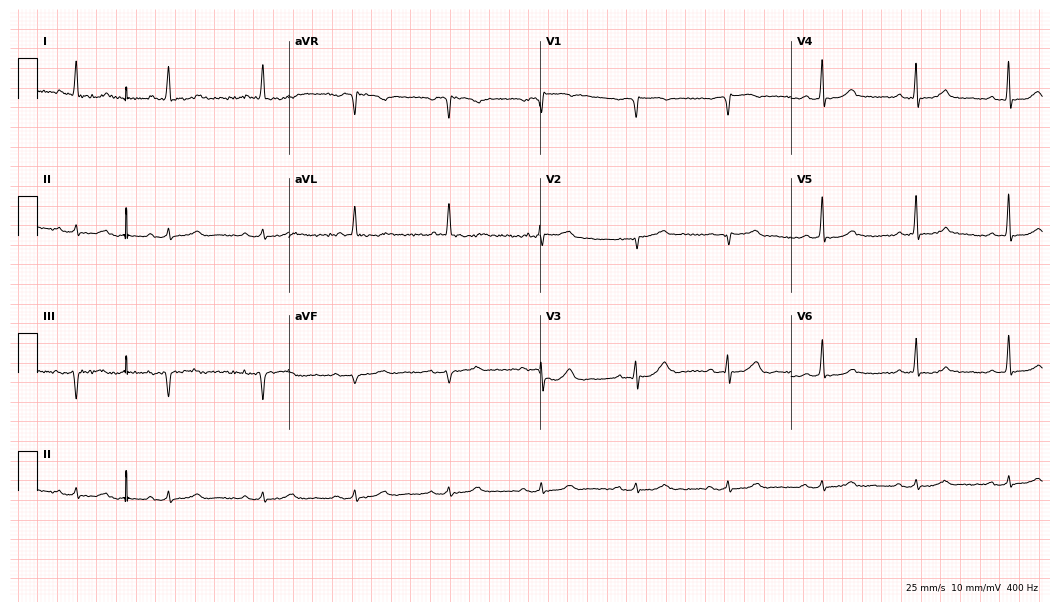
Resting 12-lead electrocardiogram. Patient: a male, 75 years old. Read as a normal ECG.